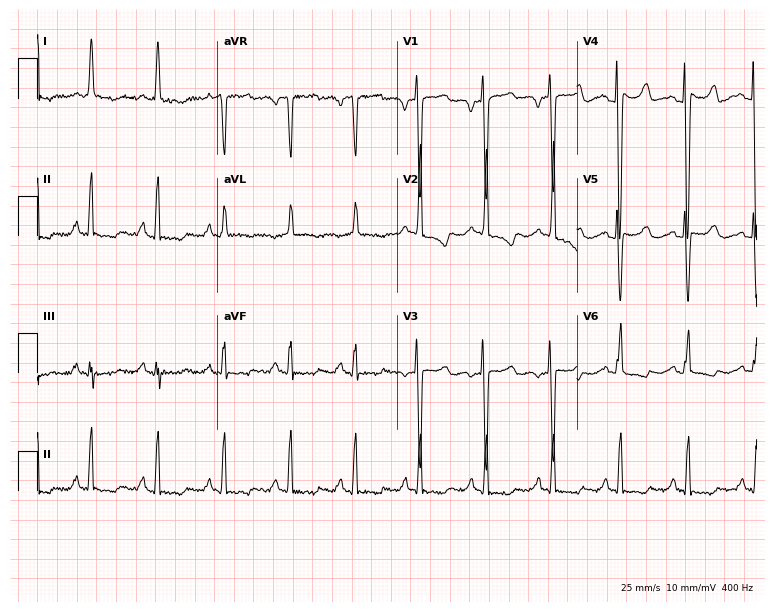
Electrocardiogram (7.3-second recording at 400 Hz), a 75-year-old female. Of the six screened findings (first-degree AV block, right bundle branch block, left bundle branch block, sinus bradycardia, atrial fibrillation, sinus tachycardia), none is recorded. Findings outside these six are not listed.